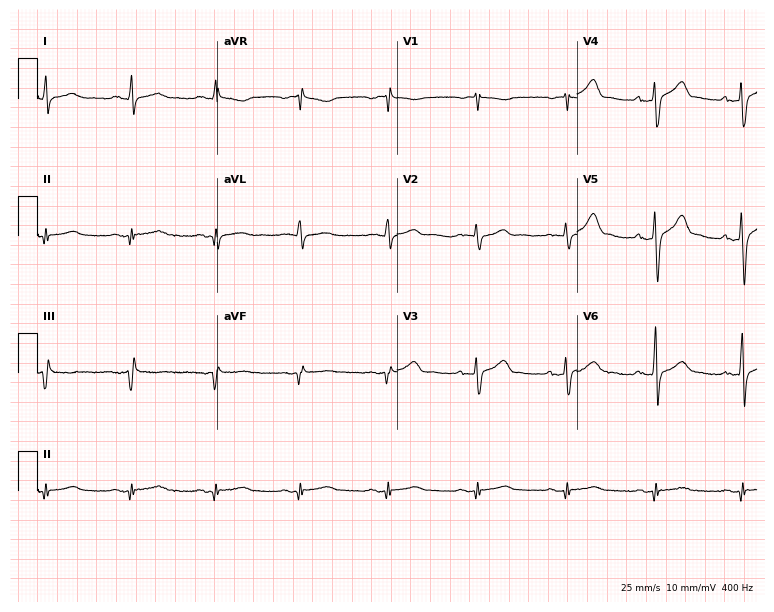
Resting 12-lead electrocardiogram (7.3-second recording at 400 Hz). Patient: a male, 48 years old. None of these six findings is recorded: first-degree AV block, right bundle branch block (RBBB), left bundle branch block (LBBB), sinus bradycardia, atrial fibrillation (AF), sinus tachycardia. Findings outside these six are not listed.